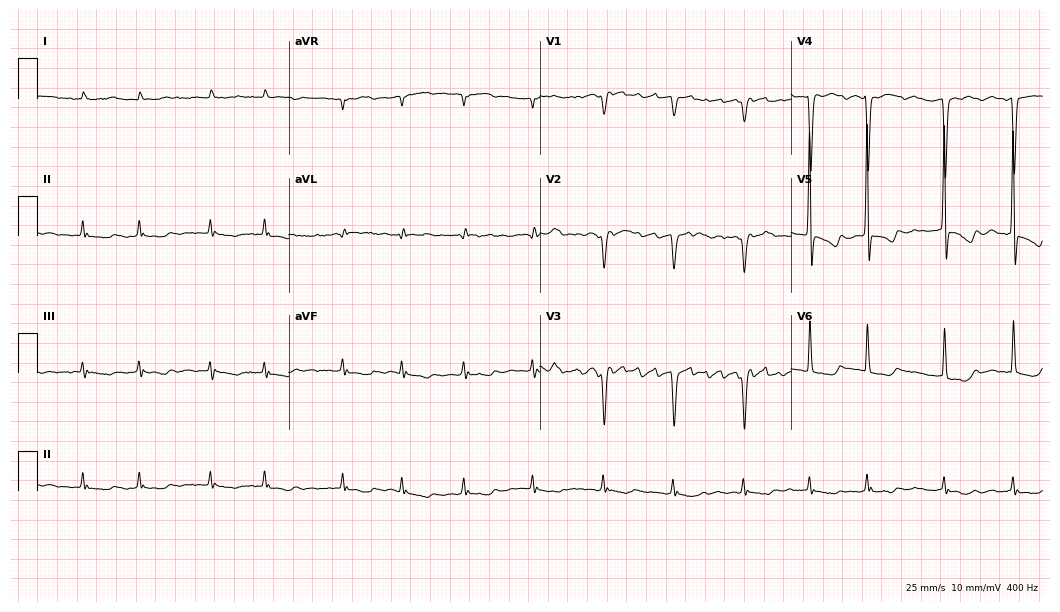
12-lead ECG (10.2-second recording at 400 Hz) from a 79-year-old woman. Findings include atrial fibrillation.